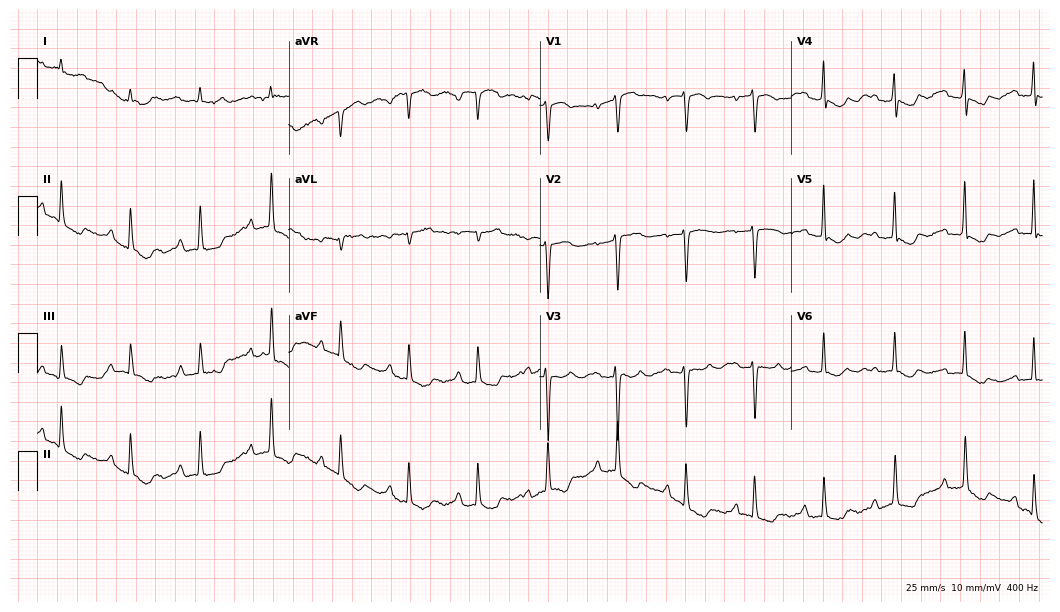
12-lead ECG from a woman, 75 years old (10.2-second recording at 400 Hz). No first-degree AV block, right bundle branch block (RBBB), left bundle branch block (LBBB), sinus bradycardia, atrial fibrillation (AF) or sinus tachycardia recorded for this tracing. Other findings, if any, are not listed.